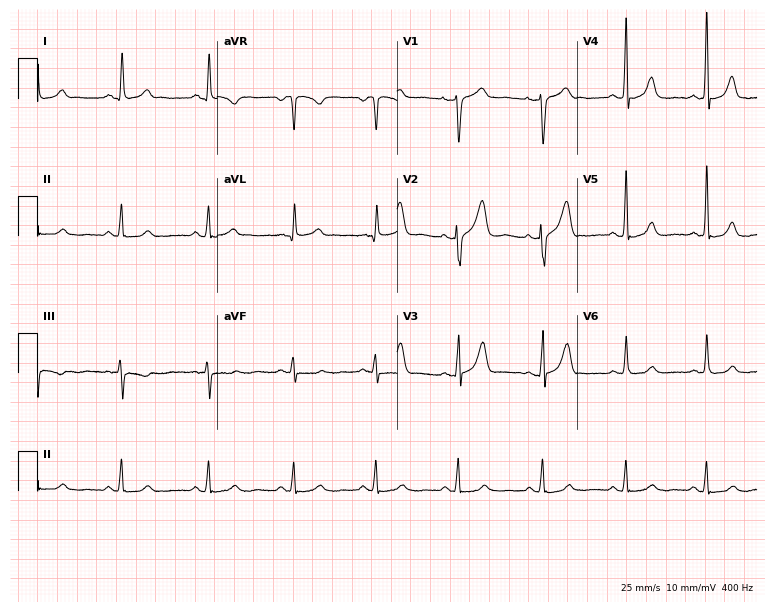
12-lead ECG from a woman, 48 years old (7.3-second recording at 400 Hz). Recorded interpretation: within normal limits.